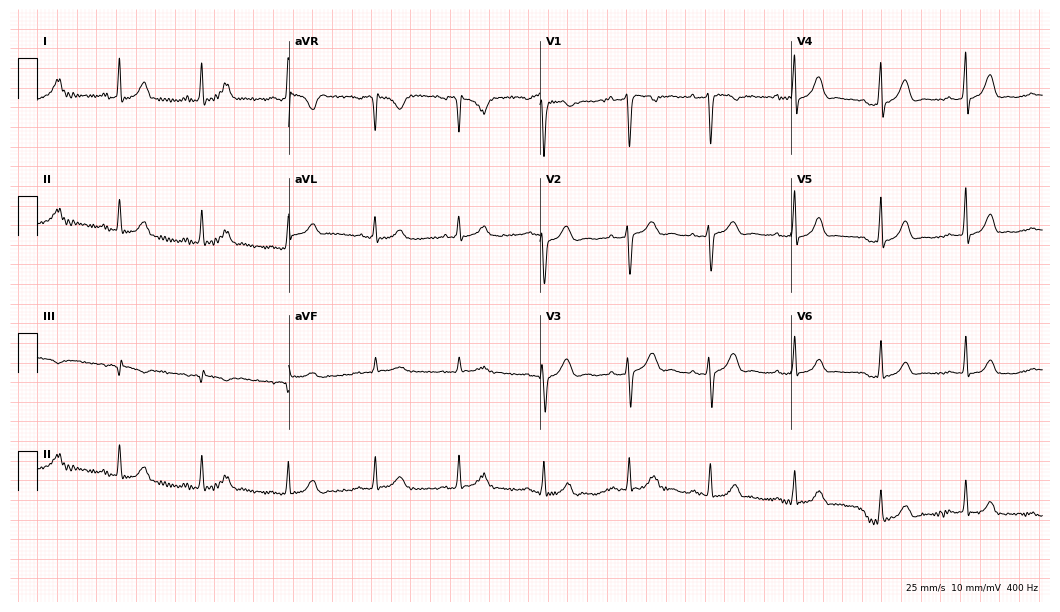
Resting 12-lead electrocardiogram (10.2-second recording at 400 Hz). Patient: a female, 20 years old. Read as a normal ECG.